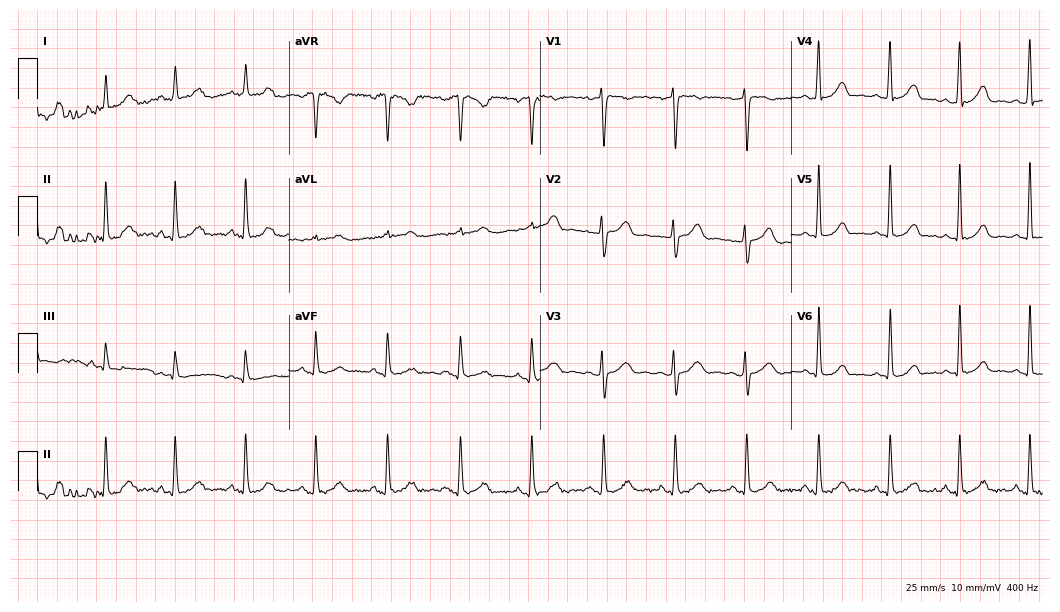
12-lead ECG from a female, 35 years old. Labelled as a normal ECG.